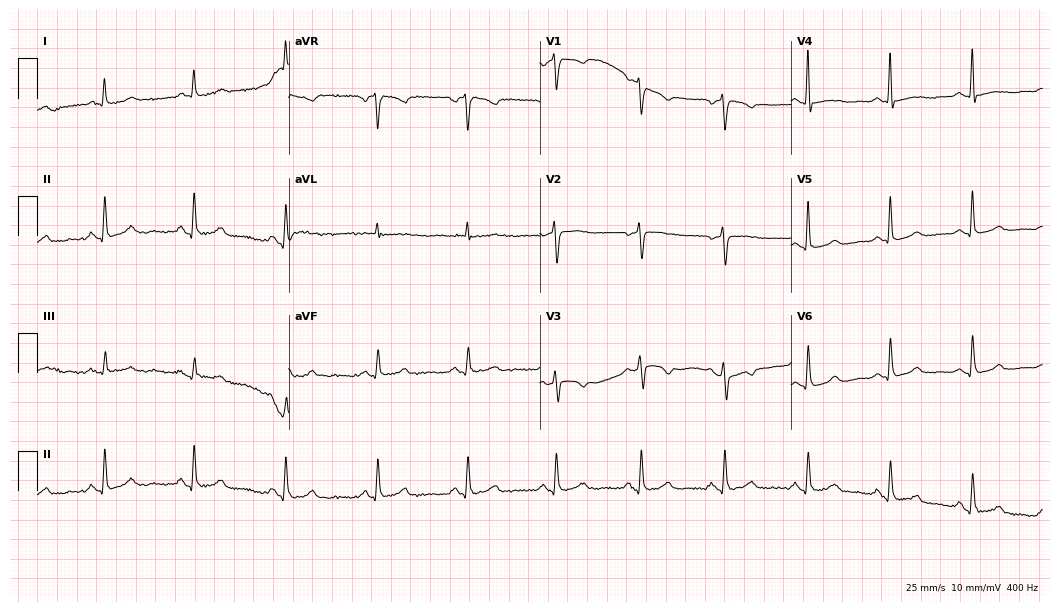
ECG — a 52-year-old woman. Screened for six findings — first-degree AV block, right bundle branch block (RBBB), left bundle branch block (LBBB), sinus bradycardia, atrial fibrillation (AF), sinus tachycardia — none is recorded. Only these six findings were labelled.